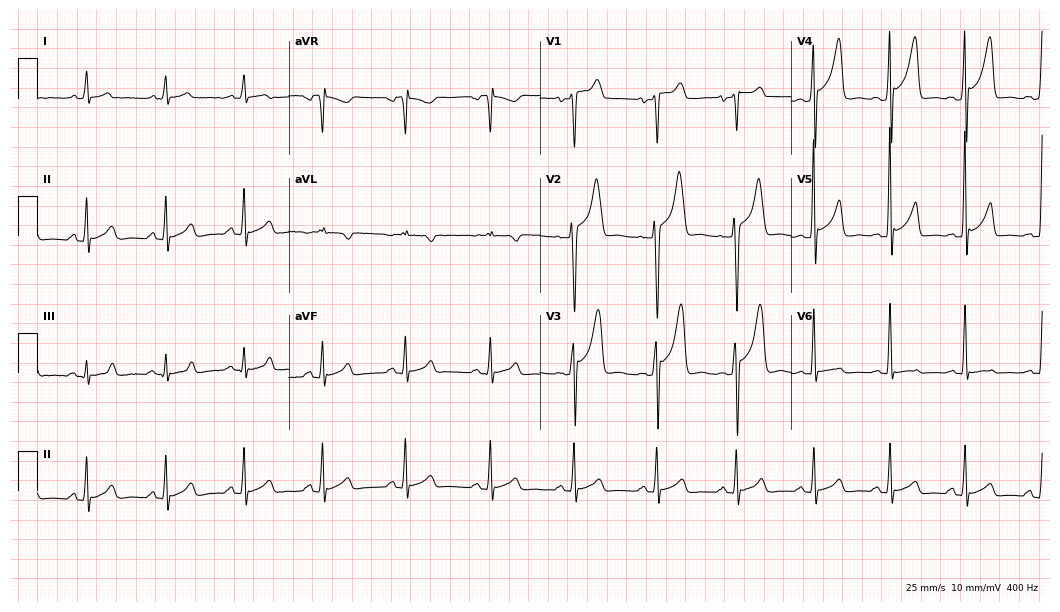
Electrocardiogram, a 39-year-old man. Of the six screened findings (first-degree AV block, right bundle branch block, left bundle branch block, sinus bradycardia, atrial fibrillation, sinus tachycardia), none is recorded. Only these six findings were labelled.